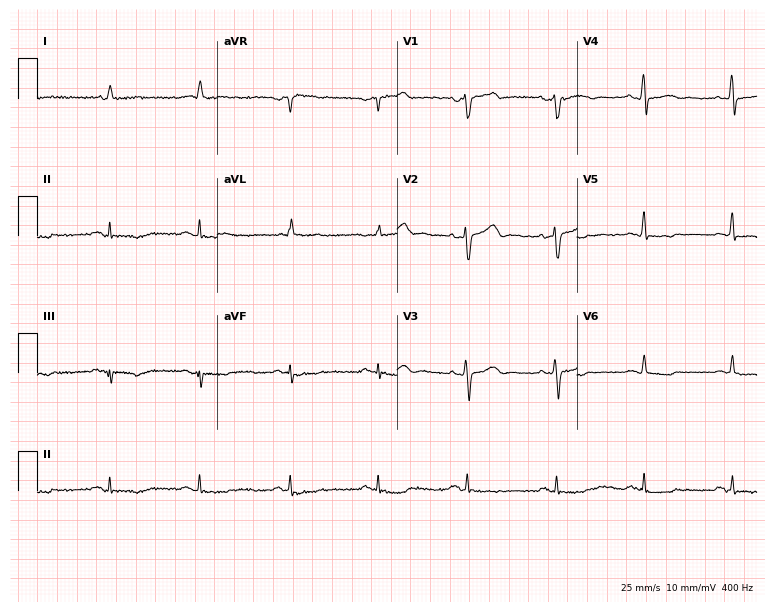
12-lead ECG from a male patient, 68 years old. No first-degree AV block, right bundle branch block (RBBB), left bundle branch block (LBBB), sinus bradycardia, atrial fibrillation (AF) or sinus tachycardia recorded for this tracing.